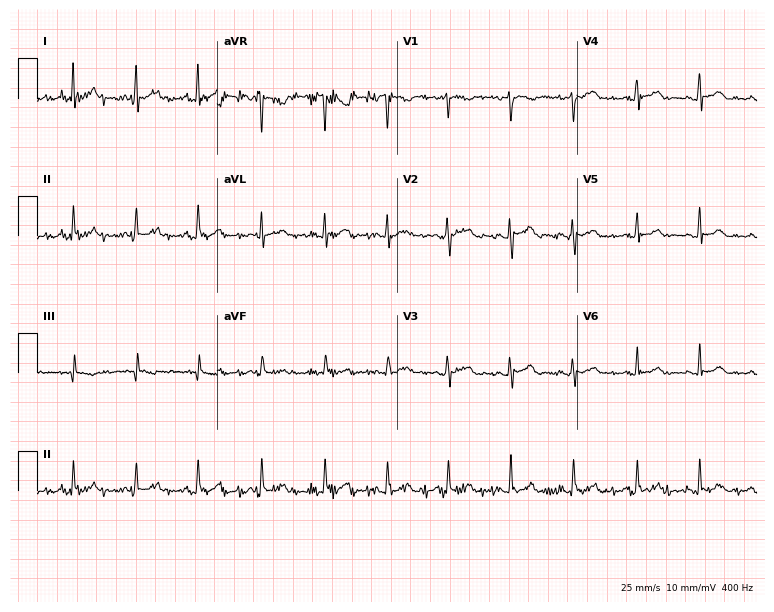
12-lead ECG from a female patient, 27 years old. Screened for six findings — first-degree AV block, right bundle branch block (RBBB), left bundle branch block (LBBB), sinus bradycardia, atrial fibrillation (AF), sinus tachycardia — none is recorded. Other findings, if any, are not listed.